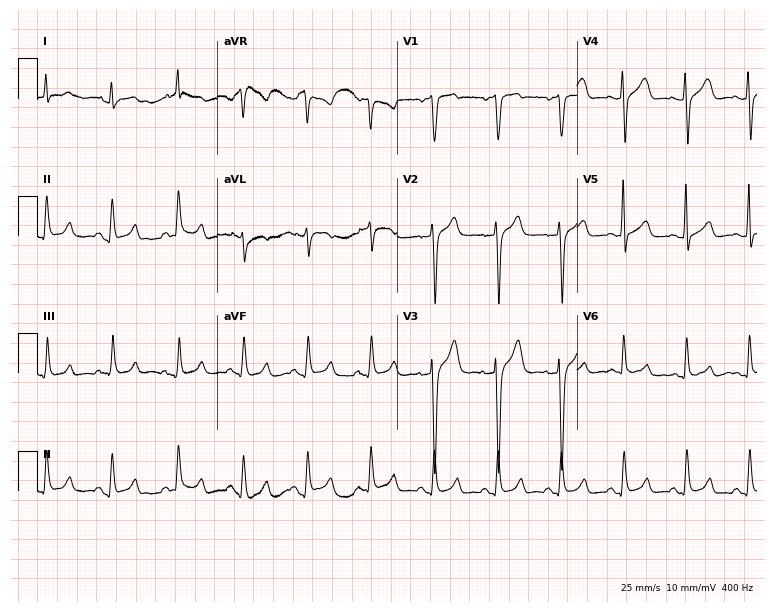
Standard 12-lead ECG recorded from a male patient, 31 years old (7.3-second recording at 400 Hz). Read as a normal ECG.